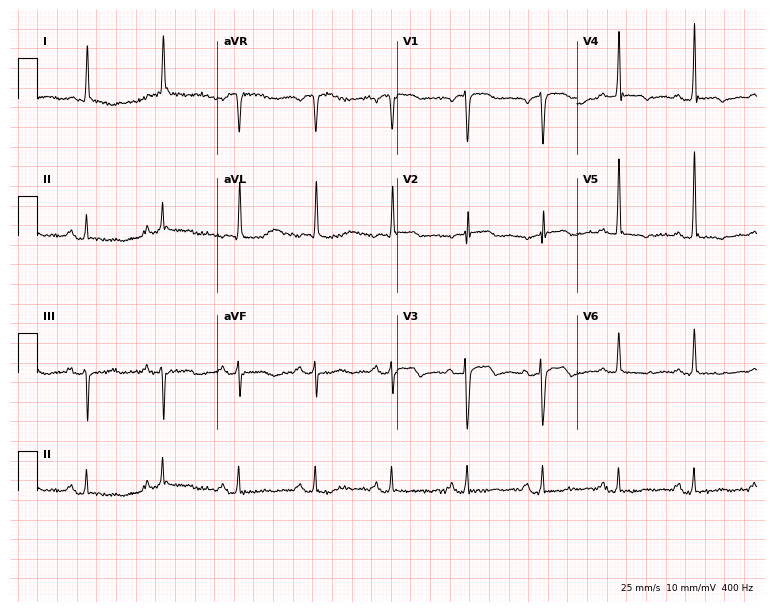
Standard 12-lead ECG recorded from a 74-year-old woman (7.3-second recording at 400 Hz). Read as a normal ECG.